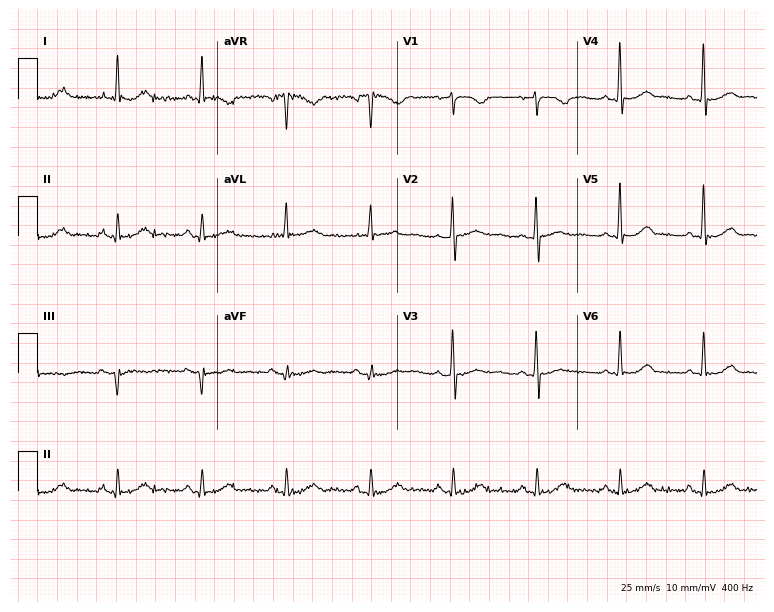
ECG (7.3-second recording at 400 Hz) — a female patient, 60 years old. Screened for six findings — first-degree AV block, right bundle branch block, left bundle branch block, sinus bradycardia, atrial fibrillation, sinus tachycardia — none is recorded.